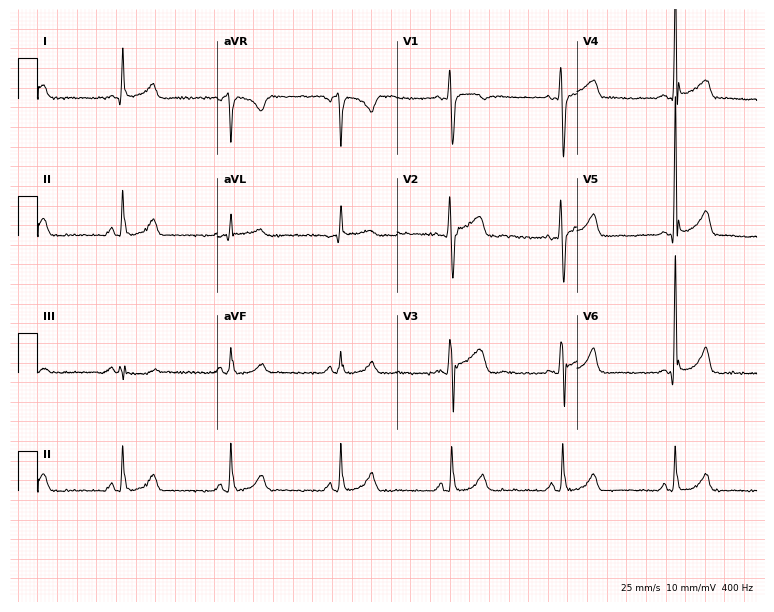
Resting 12-lead electrocardiogram. Patient: a man, 41 years old. None of these six findings is recorded: first-degree AV block, right bundle branch block, left bundle branch block, sinus bradycardia, atrial fibrillation, sinus tachycardia.